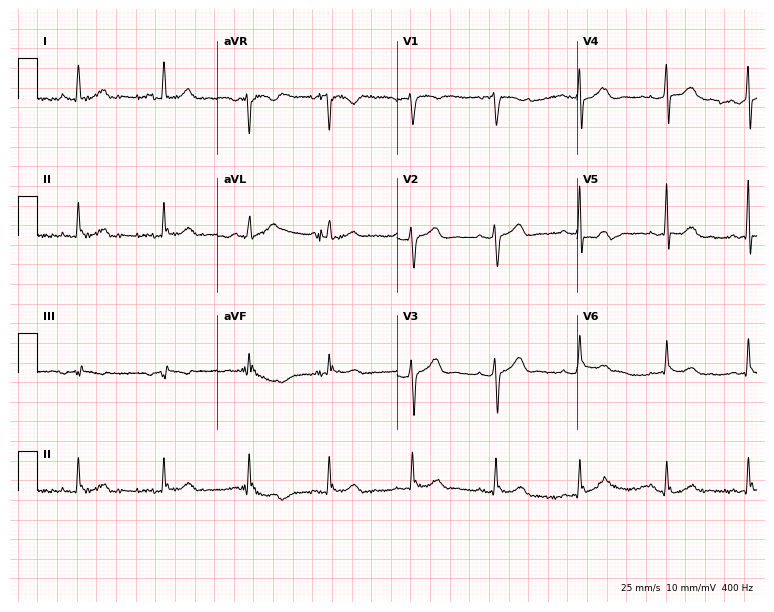
Standard 12-lead ECG recorded from a female, 41 years old. None of these six findings is recorded: first-degree AV block, right bundle branch block (RBBB), left bundle branch block (LBBB), sinus bradycardia, atrial fibrillation (AF), sinus tachycardia.